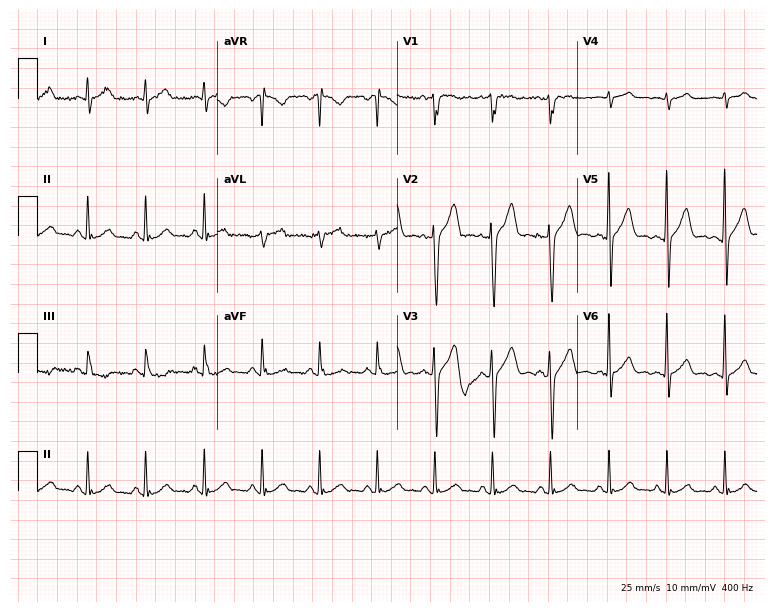
Electrocardiogram, a 46-year-old man. Interpretation includes sinus tachycardia (a sinus rate of 100 beats per minute or more).